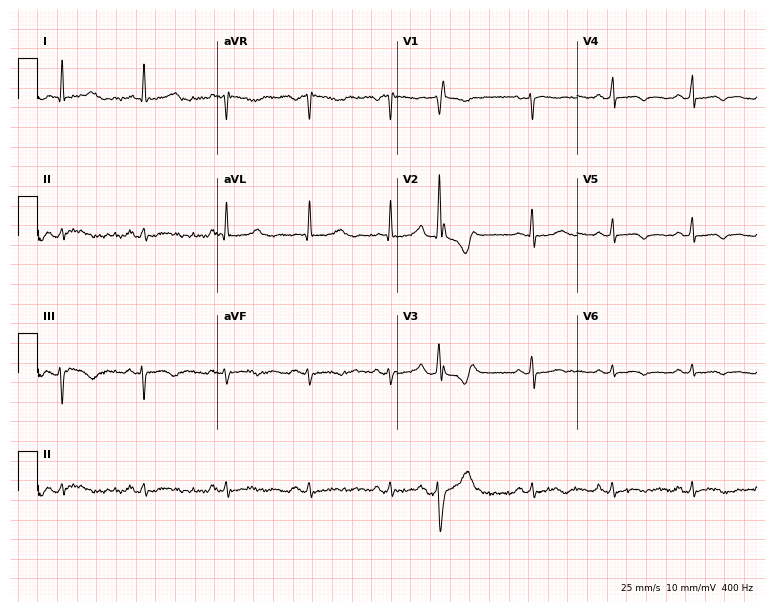
ECG (7.3-second recording at 400 Hz) — a 41-year-old woman. Labelled as a normal ECG.